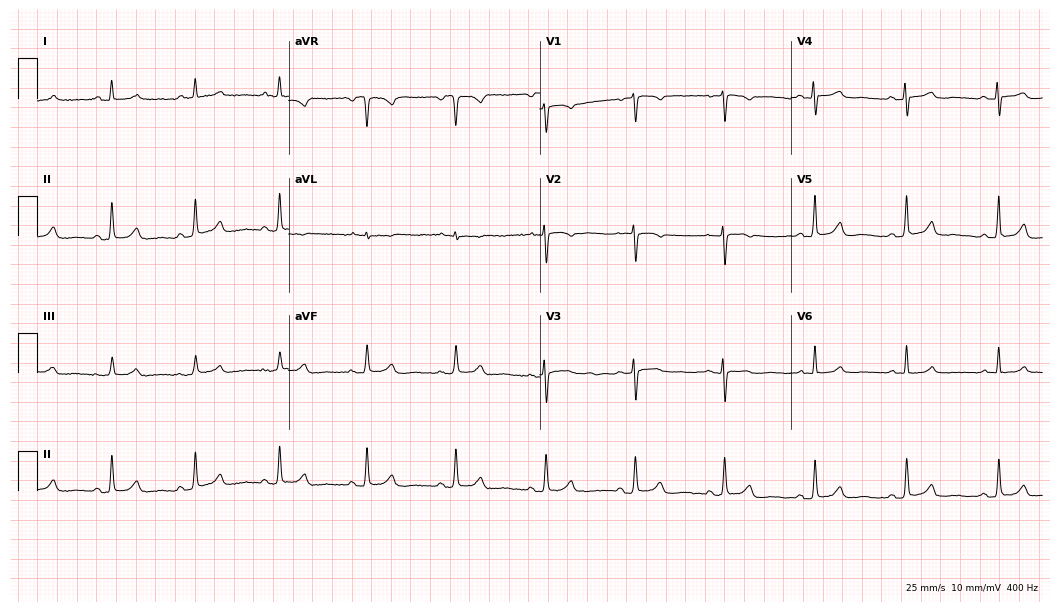
Standard 12-lead ECG recorded from a female patient, 52 years old. Read as a normal ECG.